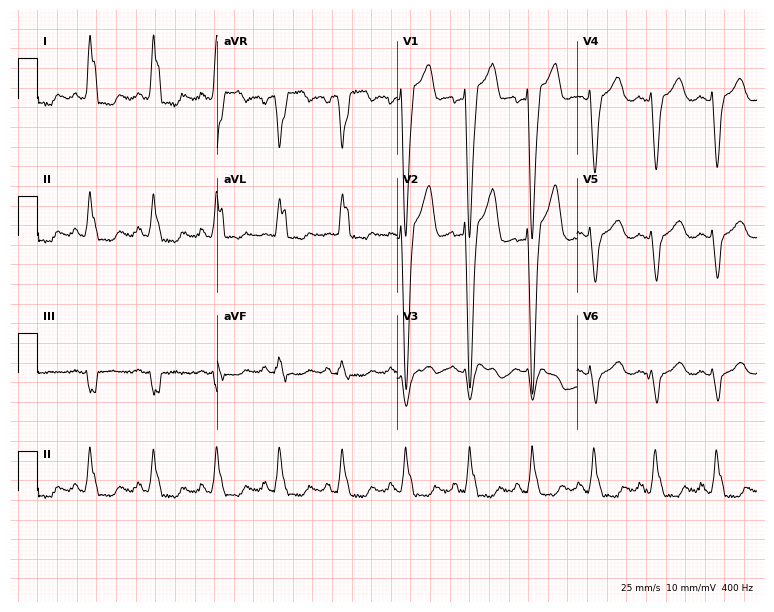
Electrocardiogram (7.3-second recording at 400 Hz), a 47-year-old woman. Interpretation includes left bundle branch block.